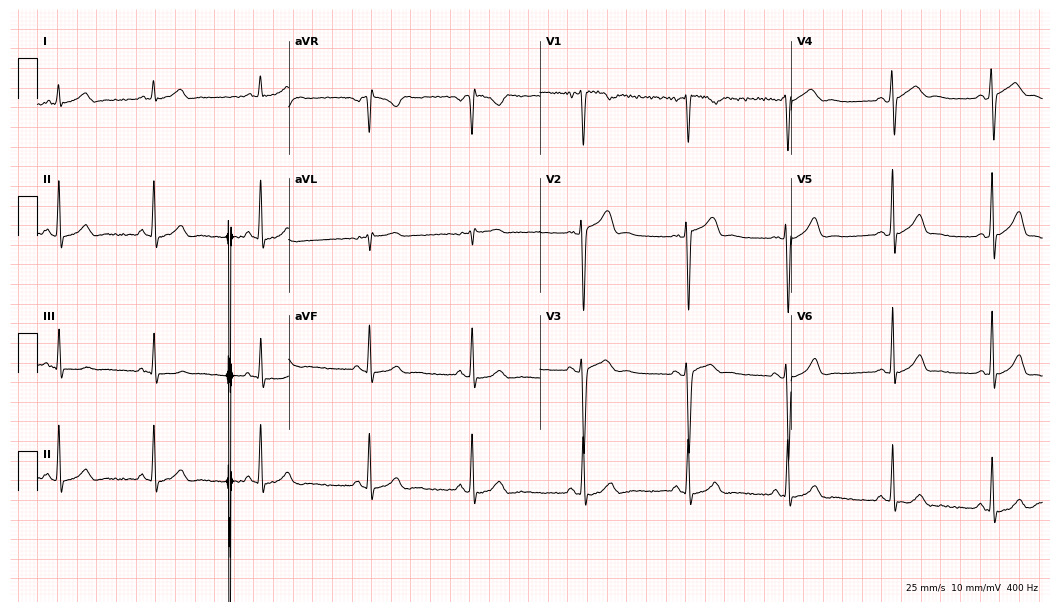
12-lead ECG (10.2-second recording at 400 Hz) from a 21-year-old male patient. Labelled as a normal ECG.